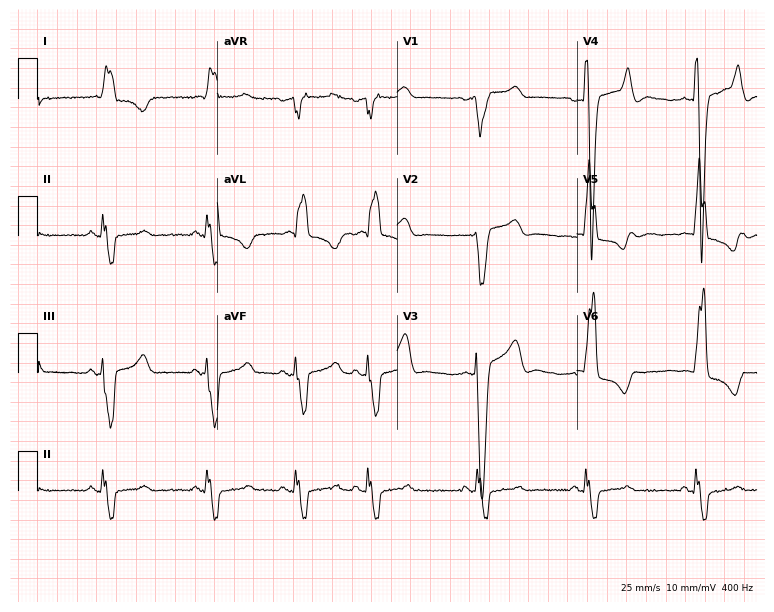
12-lead ECG from a 79-year-old man. Shows left bundle branch block (LBBB).